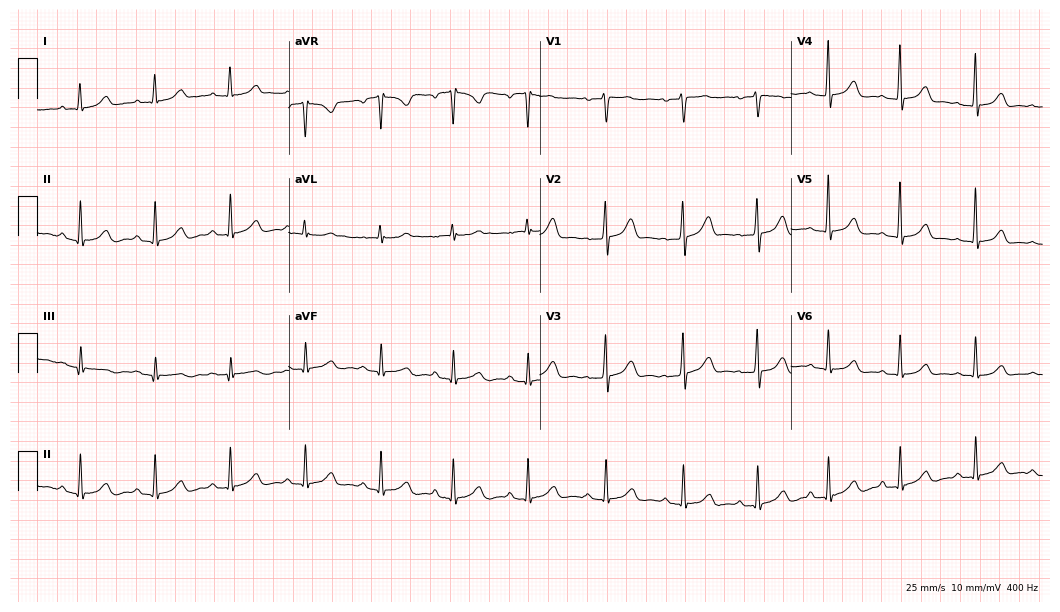
Resting 12-lead electrocardiogram. Patient: a 29-year-old woman. Read as a normal ECG.